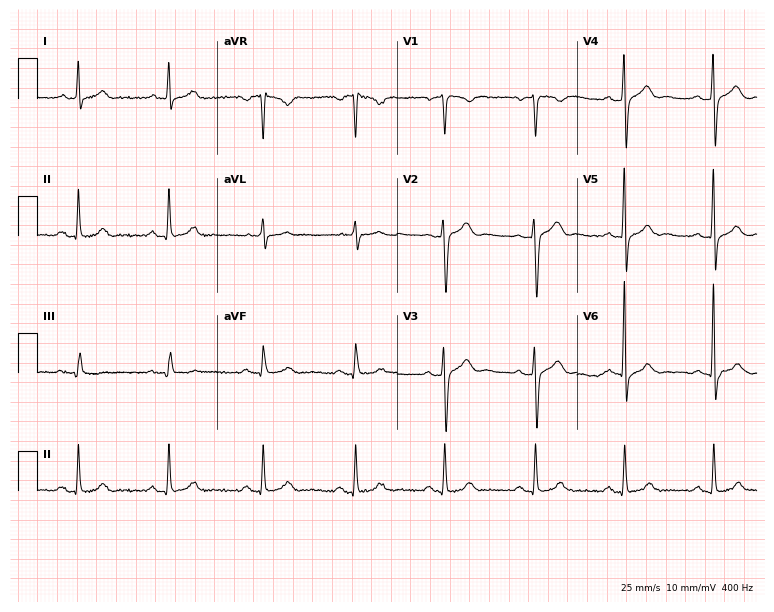
12-lead ECG from a 41-year-old male. Labelled as a normal ECG.